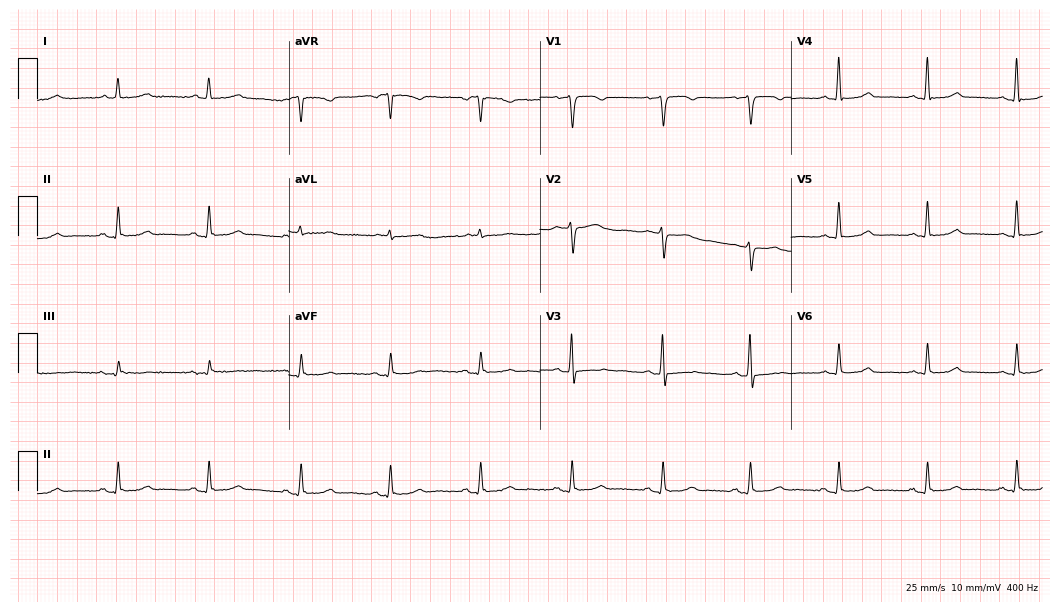
ECG — a 57-year-old female. Screened for six findings — first-degree AV block, right bundle branch block (RBBB), left bundle branch block (LBBB), sinus bradycardia, atrial fibrillation (AF), sinus tachycardia — none is recorded. Findings outside these six are not listed.